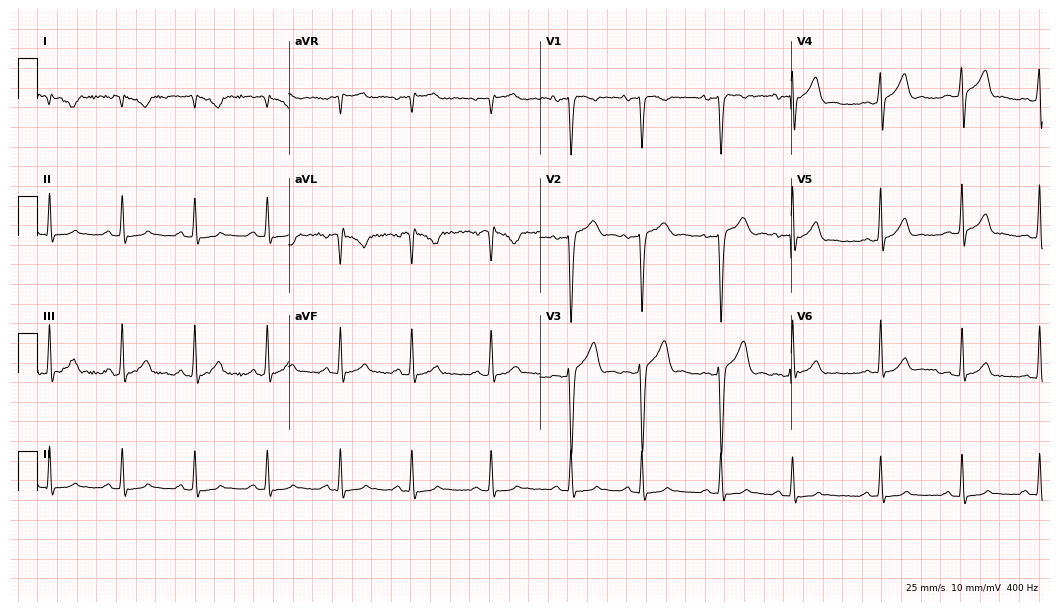
Resting 12-lead electrocardiogram. Patient: a man, 20 years old. None of these six findings is recorded: first-degree AV block, right bundle branch block (RBBB), left bundle branch block (LBBB), sinus bradycardia, atrial fibrillation (AF), sinus tachycardia. Findings outside these six are not listed.